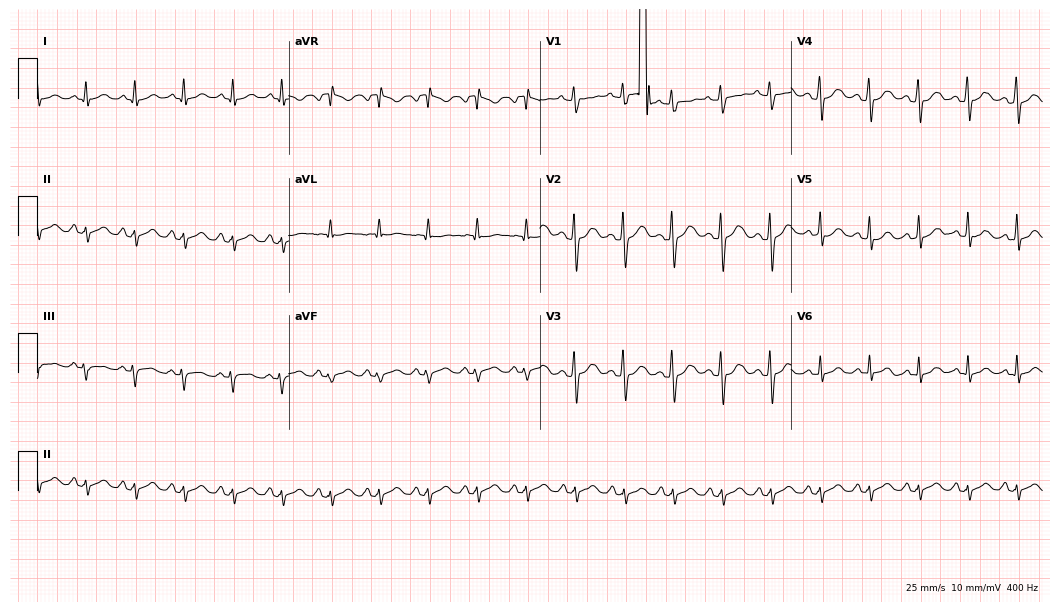
Electrocardiogram, a male patient, 26 years old. Interpretation includes sinus tachycardia (a sinus rate of 100 beats per minute or more).